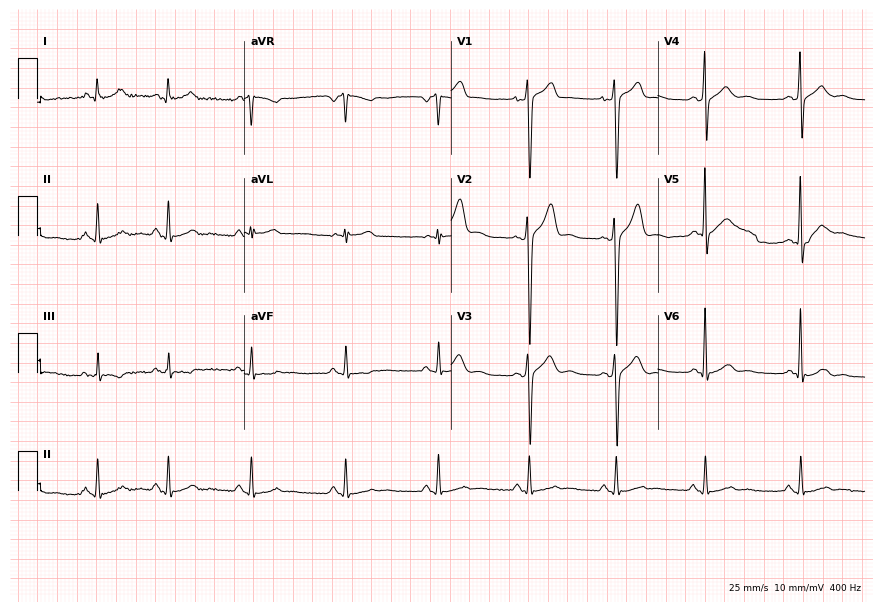
12-lead ECG from a 25-year-old male (8.4-second recording at 400 Hz). Recorded interpretation: within normal limits.